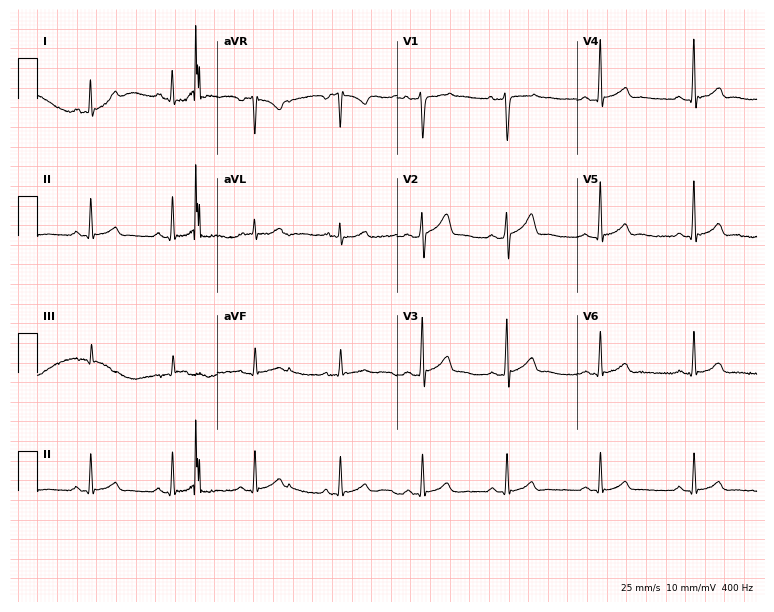
12-lead ECG from a male, 28 years old. Recorded interpretation: within normal limits.